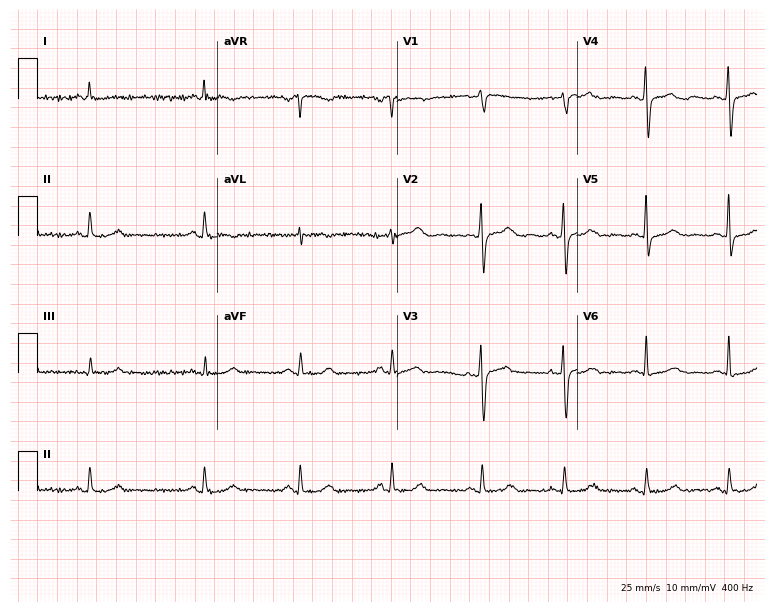
Standard 12-lead ECG recorded from a female, 67 years old. Read as a normal ECG.